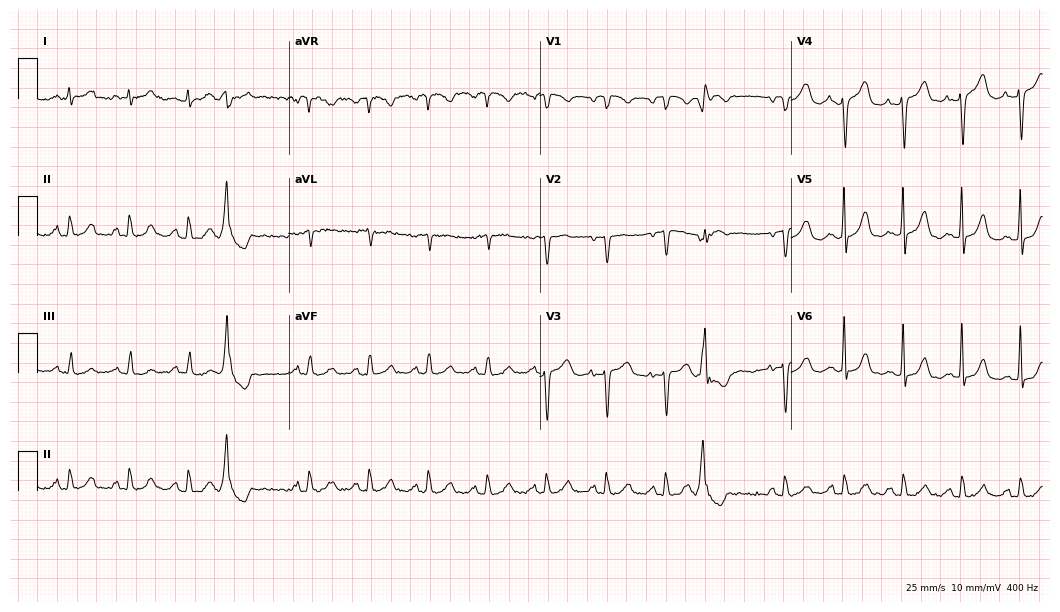
12-lead ECG from a female patient, 85 years old. No first-degree AV block, right bundle branch block, left bundle branch block, sinus bradycardia, atrial fibrillation or sinus tachycardia recorded for this tracing. Findings outside these six are not listed.